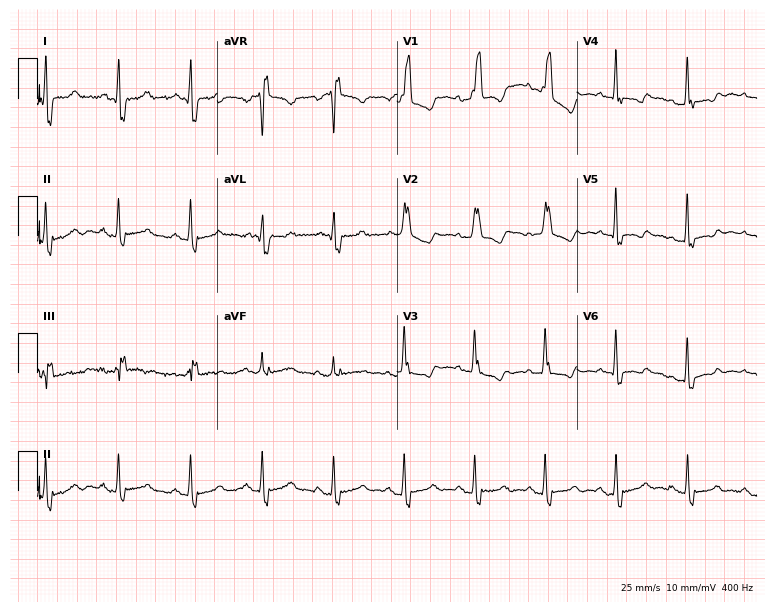
12-lead ECG (7.3-second recording at 400 Hz) from a female patient, 56 years old. Findings include right bundle branch block (RBBB).